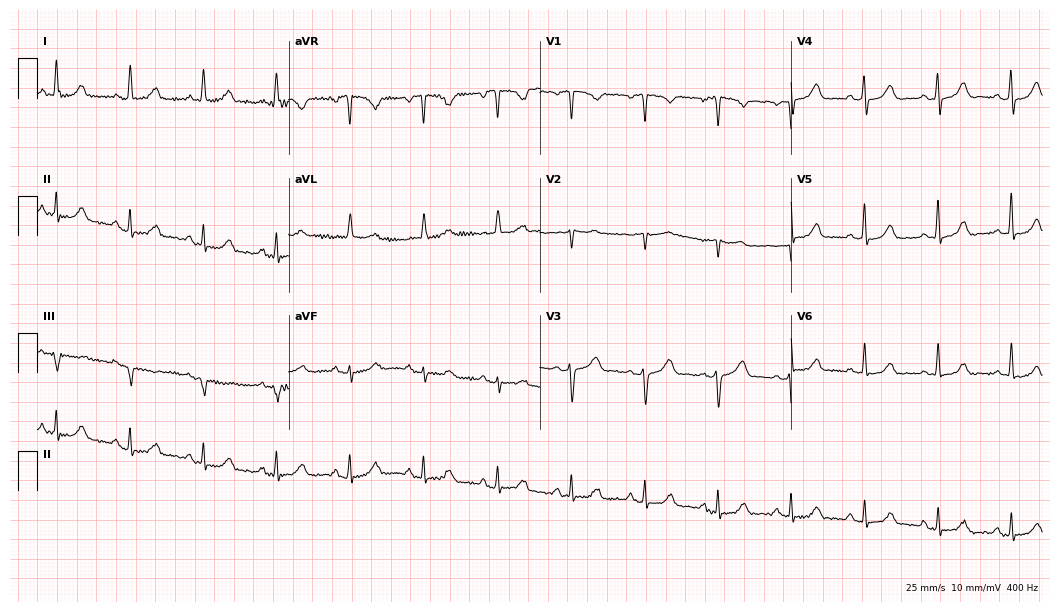
Standard 12-lead ECG recorded from a woman, 56 years old (10.2-second recording at 400 Hz). None of these six findings is recorded: first-degree AV block, right bundle branch block, left bundle branch block, sinus bradycardia, atrial fibrillation, sinus tachycardia.